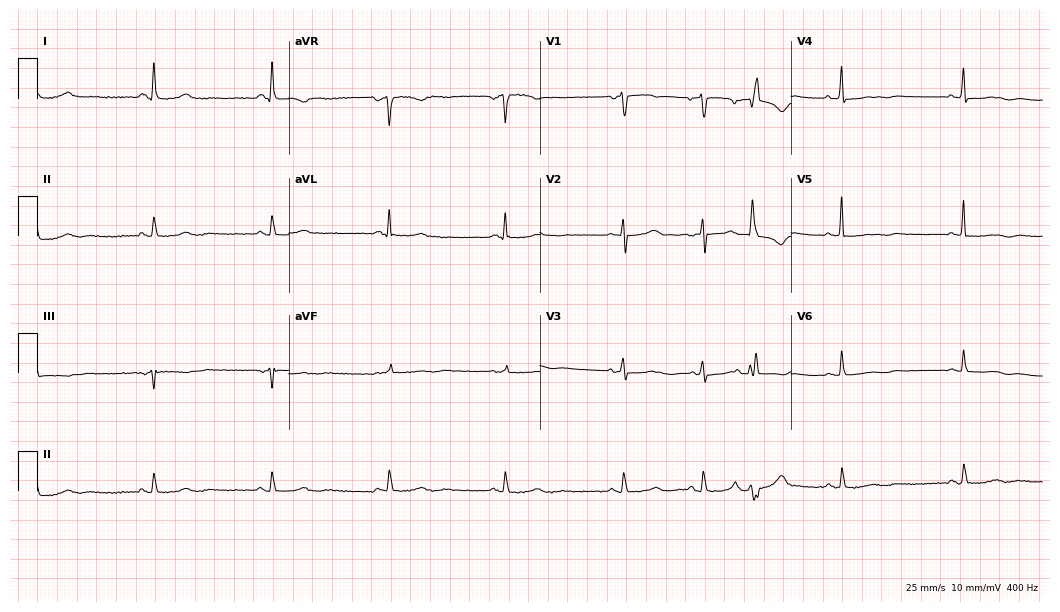
Electrocardiogram, a 77-year-old woman. Of the six screened findings (first-degree AV block, right bundle branch block (RBBB), left bundle branch block (LBBB), sinus bradycardia, atrial fibrillation (AF), sinus tachycardia), none is recorded. Only these six findings were labelled.